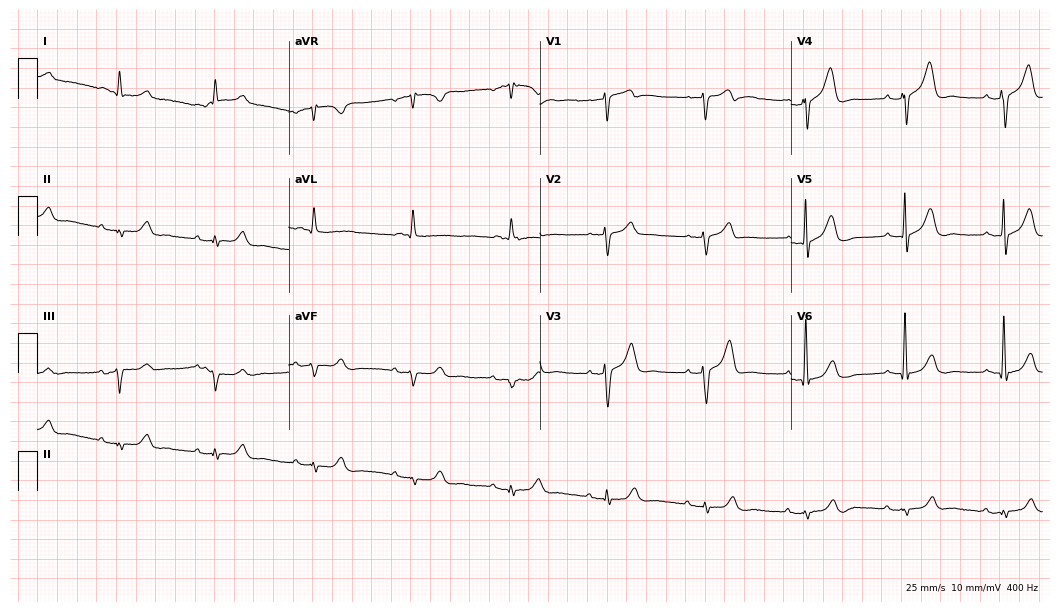
Standard 12-lead ECG recorded from a man, 80 years old (10.2-second recording at 400 Hz). None of these six findings is recorded: first-degree AV block, right bundle branch block, left bundle branch block, sinus bradycardia, atrial fibrillation, sinus tachycardia. Only these six findings were labelled.